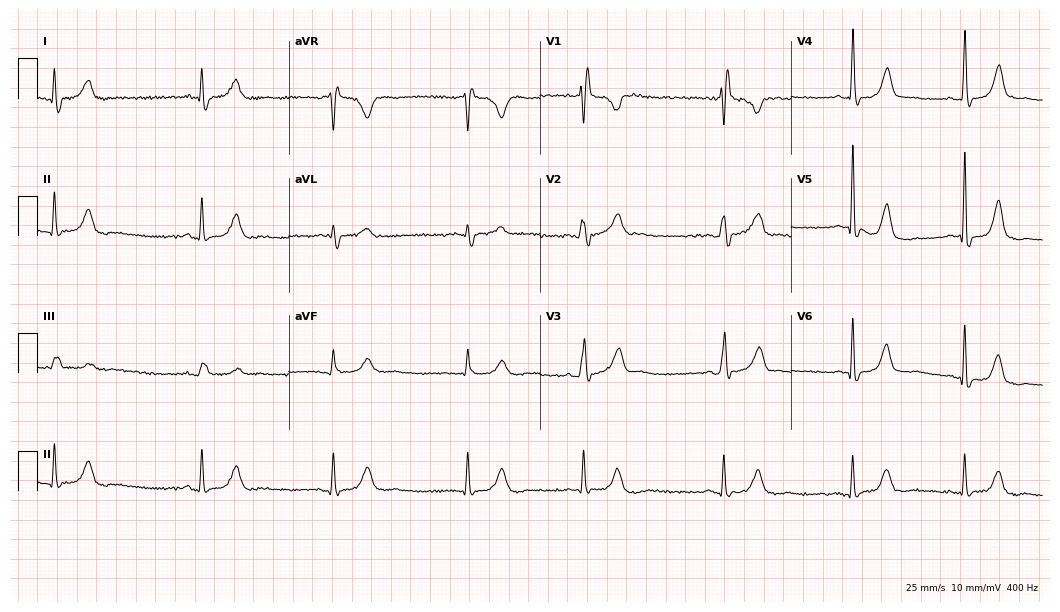
12-lead ECG from a female, 58 years old (10.2-second recording at 400 Hz). Shows right bundle branch block, sinus bradycardia (a sinus rate of 50 beats per minute or less).